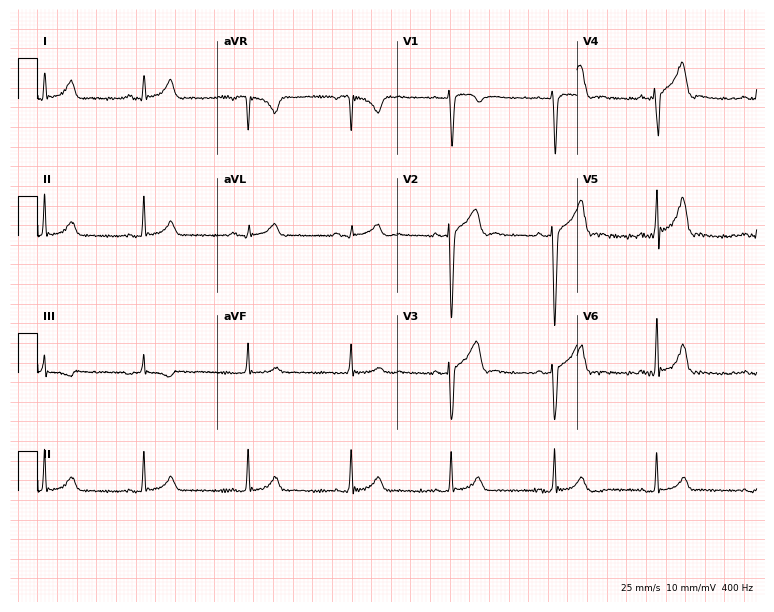
Standard 12-lead ECG recorded from a 27-year-old male patient. Read as a normal ECG.